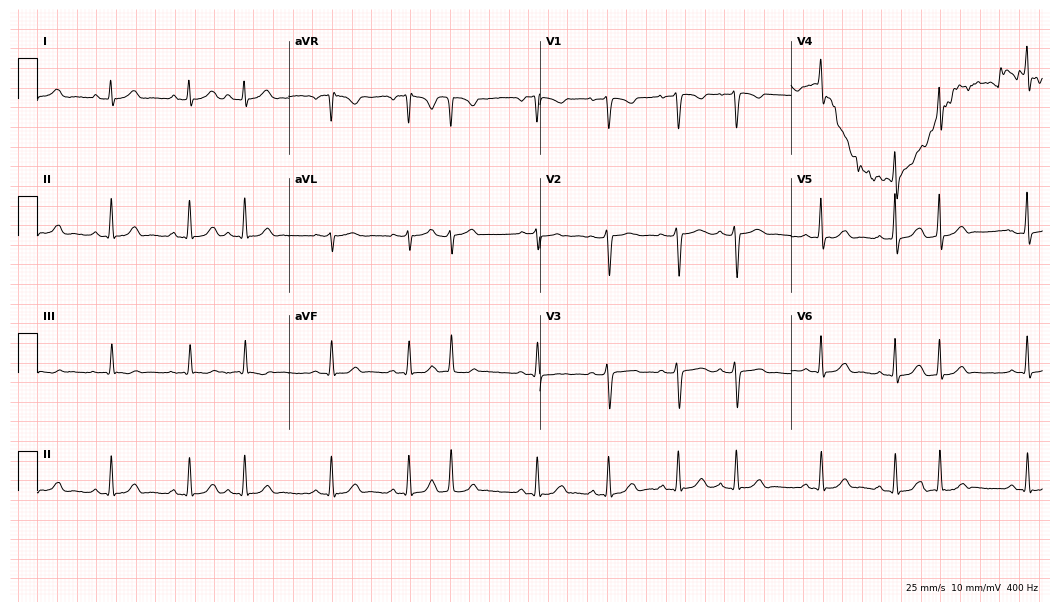
Resting 12-lead electrocardiogram. Patient: a woman, 36 years old. None of these six findings is recorded: first-degree AV block, right bundle branch block (RBBB), left bundle branch block (LBBB), sinus bradycardia, atrial fibrillation (AF), sinus tachycardia. Findings outside these six are not listed.